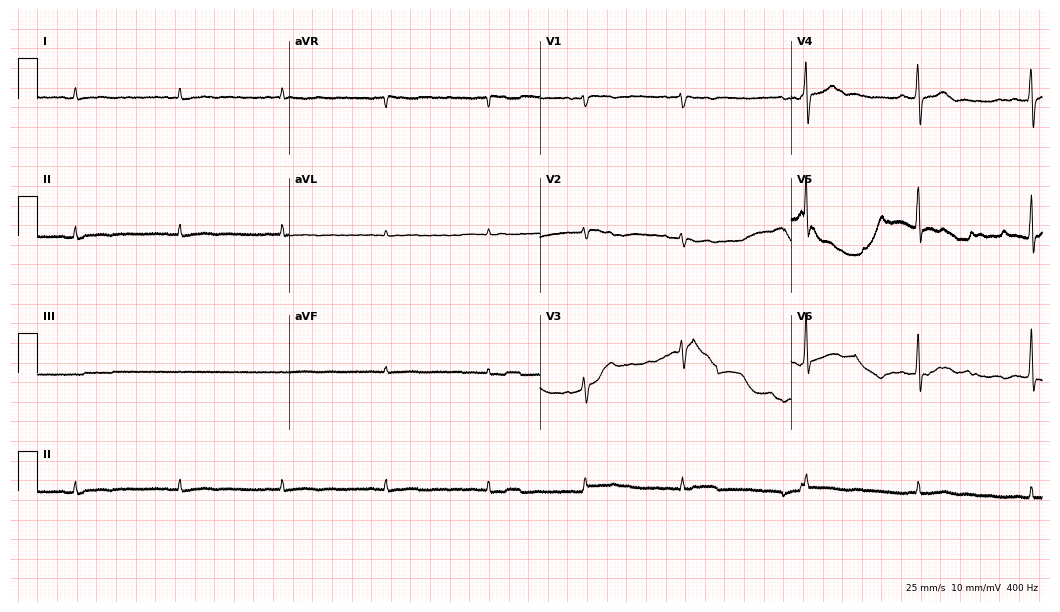
Resting 12-lead electrocardiogram (10.2-second recording at 400 Hz). Patient: a man, 83 years old. None of these six findings is recorded: first-degree AV block, right bundle branch block, left bundle branch block, sinus bradycardia, atrial fibrillation, sinus tachycardia. Only these six findings were labelled.